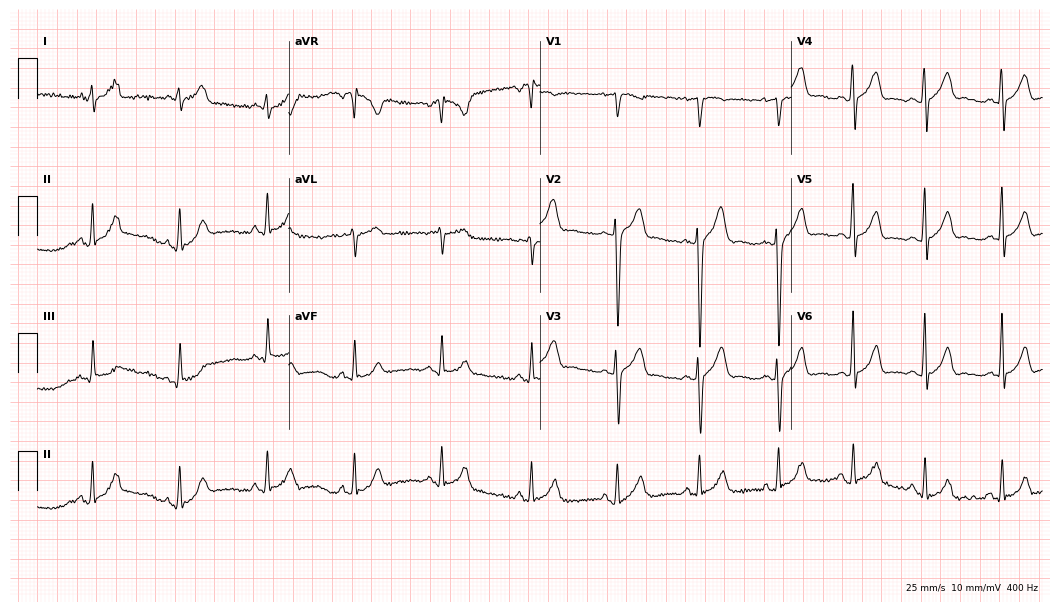
ECG (10.2-second recording at 400 Hz) — a male patient, 28 years old. Labelled as a normal ECG.